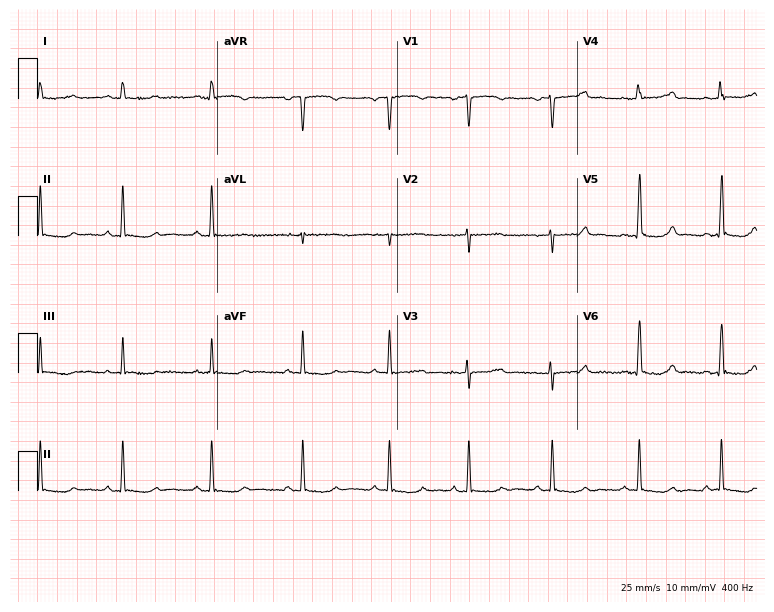
ECG (7.3-second recording at 400 Hz) — a 35-year-old female. Screened for six findings — first-degree AV block, right bundle branch block, left bundle branch block, sinus bradycardia, atrial fibrillation, sinus tachycardia — none is recorded.